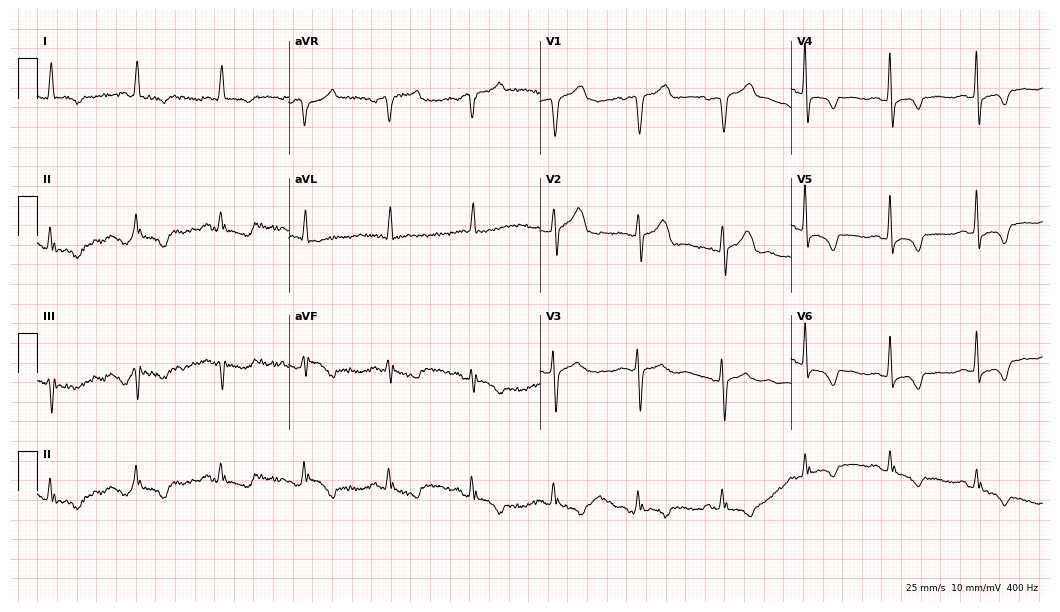
Electrocardiogram (10.2-second recording at 400 Hz), a male, 64 years old. Of the six screened findings (first-degree AV block, right bundle branch block, left bundle branch block, sinus bradycardia, atrial fibrillation, sinus tachycardia), none is recorded.